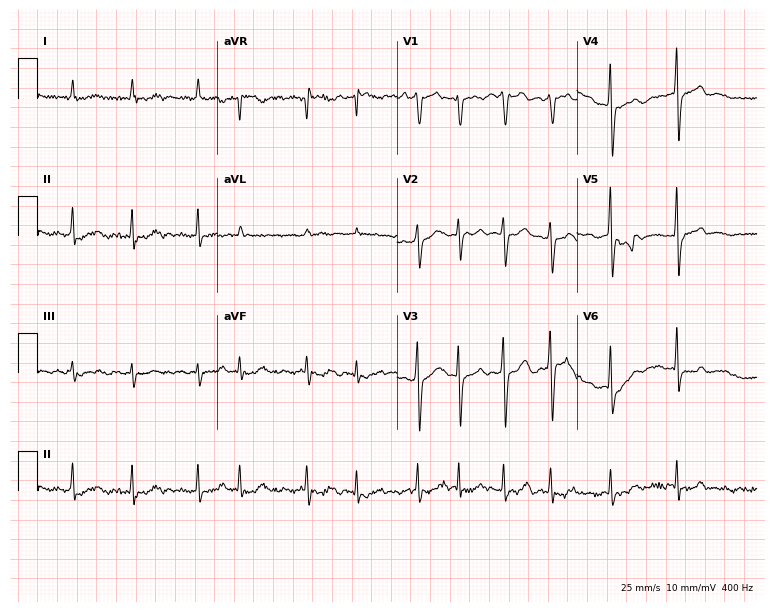
12-lead ECG (7.3-second recording at 400 Hz) from a 72-year-old man. Findings include atrial fibrillation.